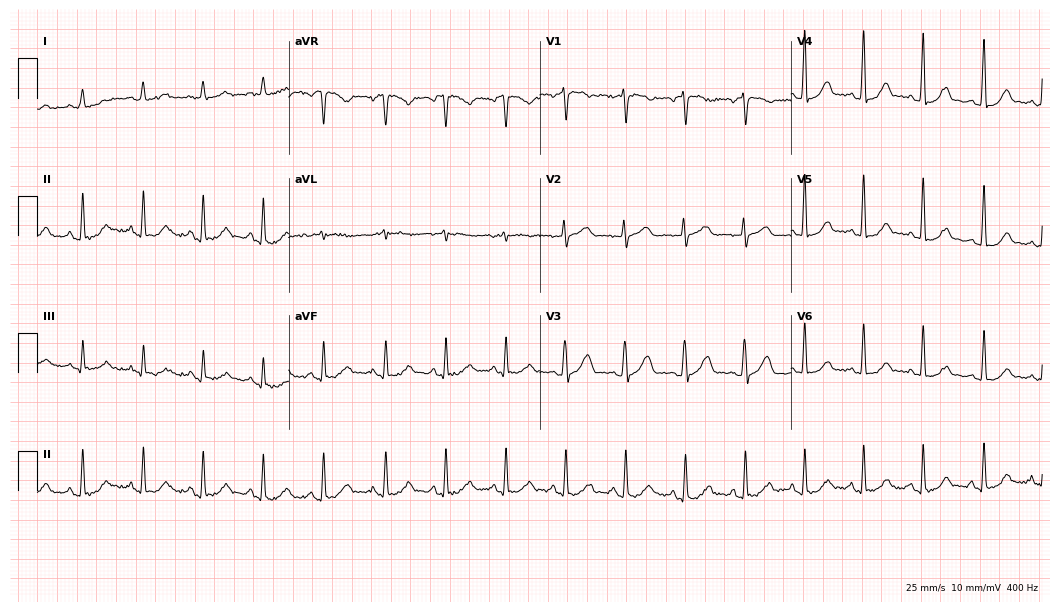
Resting 12-lead electrocardiogram. Patient: a 55-year-old female. None of these six findings is recorded: first-degree AV block, right bundle branch block, left bundle branch block, sinus bradycardia, atrial fibrillation, sinus tachycardia. Other findings, if any, are not listed.